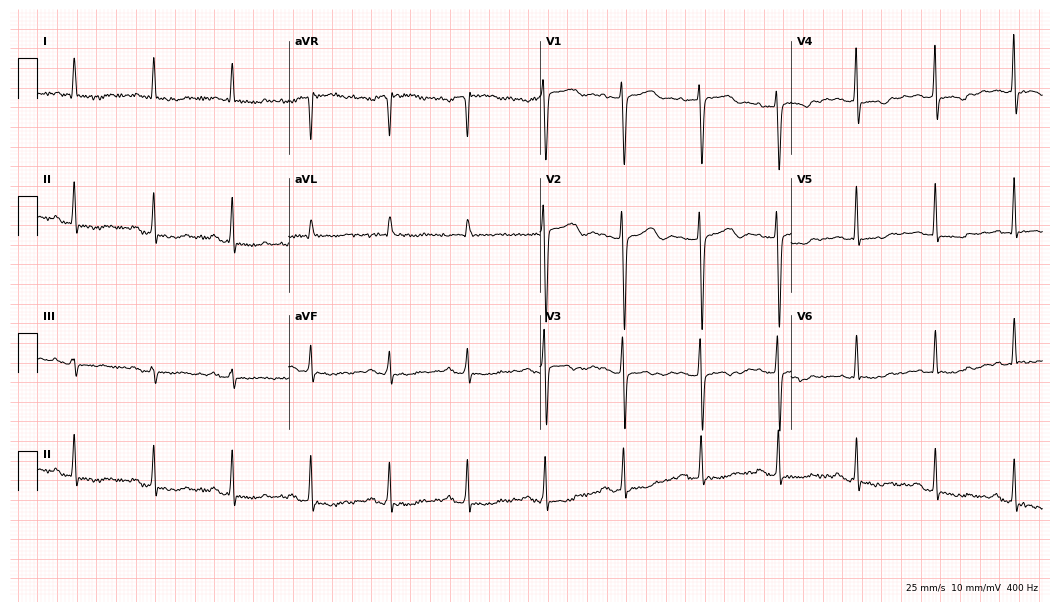
Standard 12-lead ECG recorded from a 77-year-old female. None of these six findings is recorded: first-degree AV block, right bundle branch block, left bundle branch block, sinus bradycardia, atrial fibrillation, sinus tachycardia.